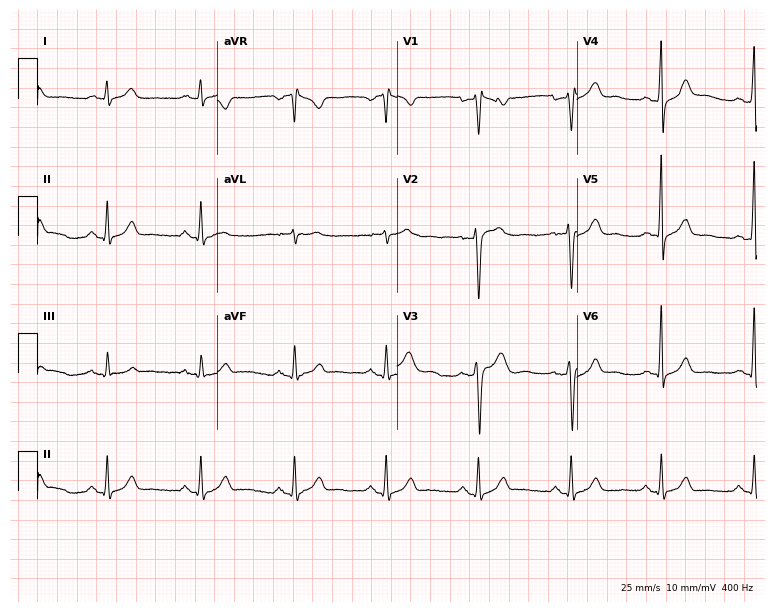
Standard 12-lead ECG recorded from a man, 65 years old. None of these six findings is recorded: first-degree AV block, right bundle branch block, left bundle branch block, sinus bradycardia, atrial fibrillation, sinus tachycardia. Only these six findings were labelled.